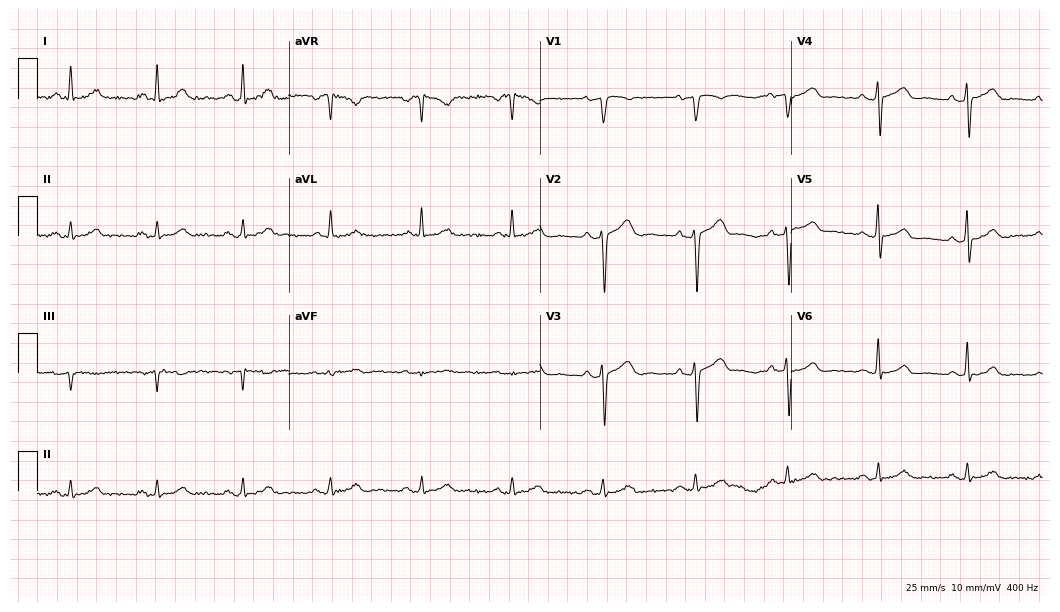
Resting 12-lead electrocardiogram. Patient: a 52-year-old male. None of these six findings is recorded: first-degree AV block, right bundle branch block, left bundle branch block, sinus bradycardia, atrial fibrillation, sinus tachycardia.